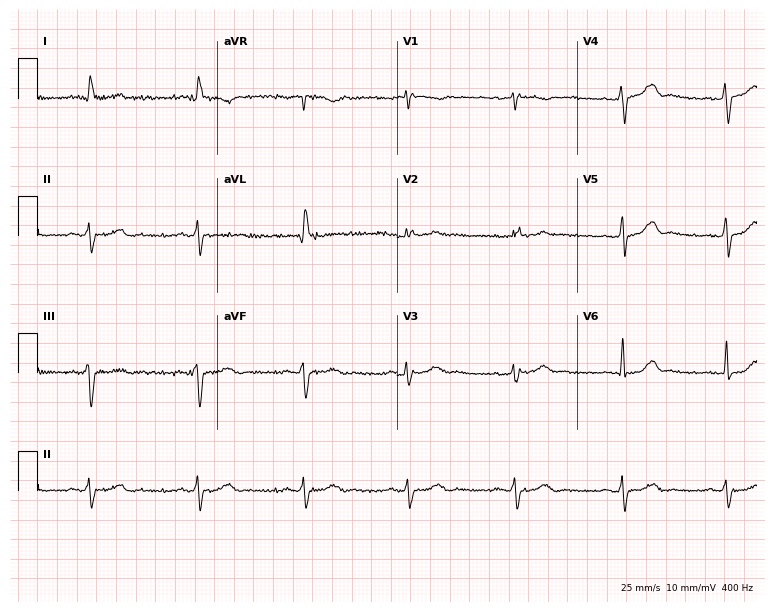
Electrocardiogram (7.3-second recording at 400 Hz), a male, 76 years old. Of the six screened findings (first-degree AV block, right bundle branch block, left bundle branch block, sinus bradycardia, atrial fibrillation, sinus tachycardia), none is recorded.